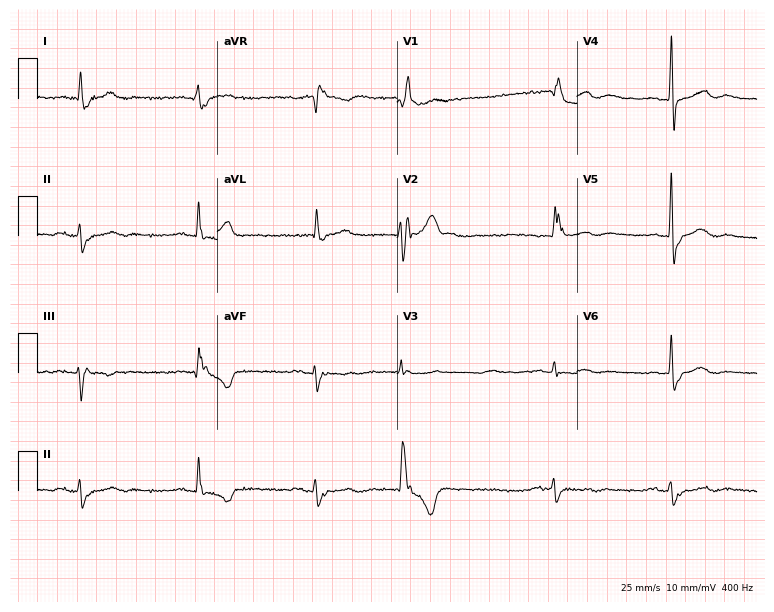
12-lead ECG from a man, 79 years old (7.3-second recording at 400 Hz). Shows right bundle branch block, sinus bradycardia (a sinus rate of 50 beats per minute or less), atrial fibrillation.